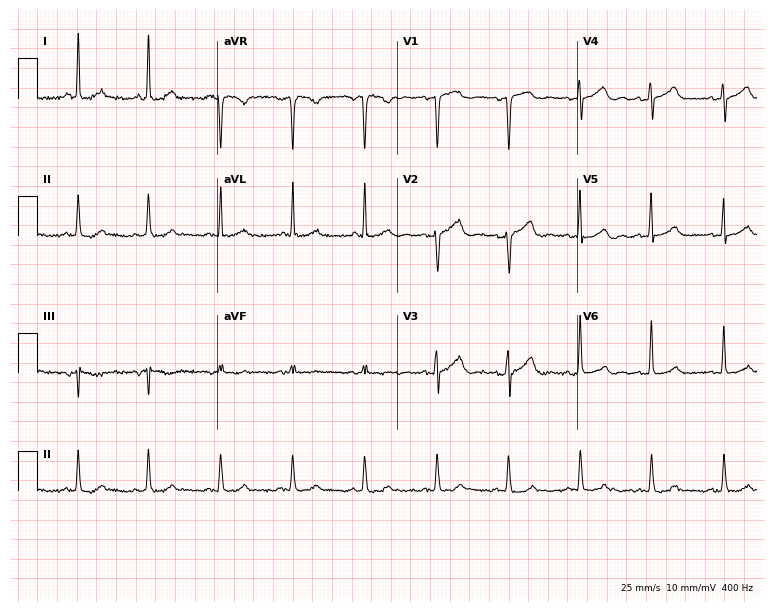
ECG — a 70-year-old female. Labelled as a normal ECG.